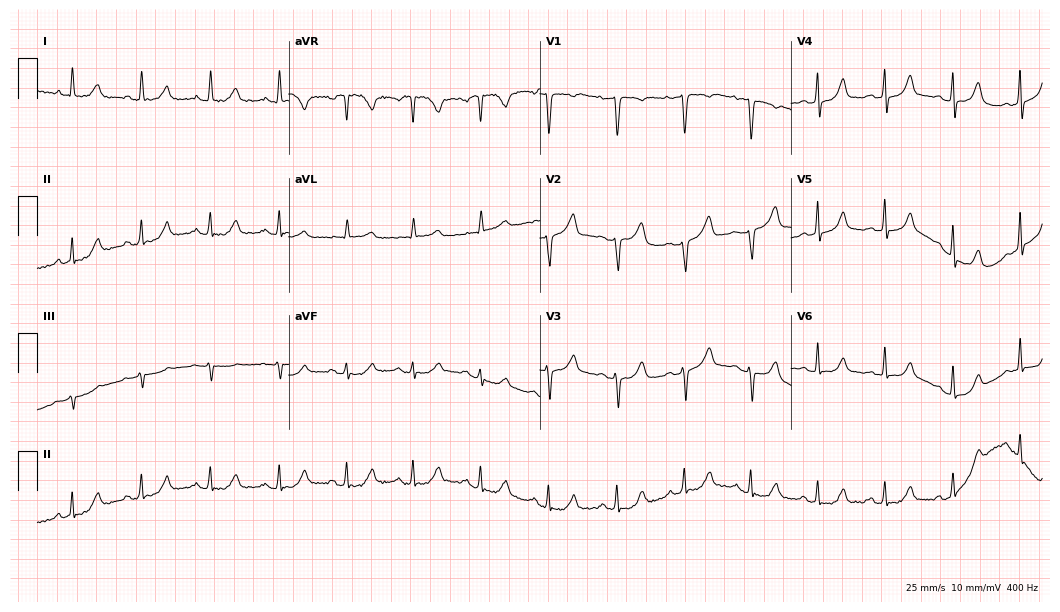
Electrocardiogram (10.2-second recording at 400 Hz), a female, 57 years old. Overall reading on record: normal ECG.